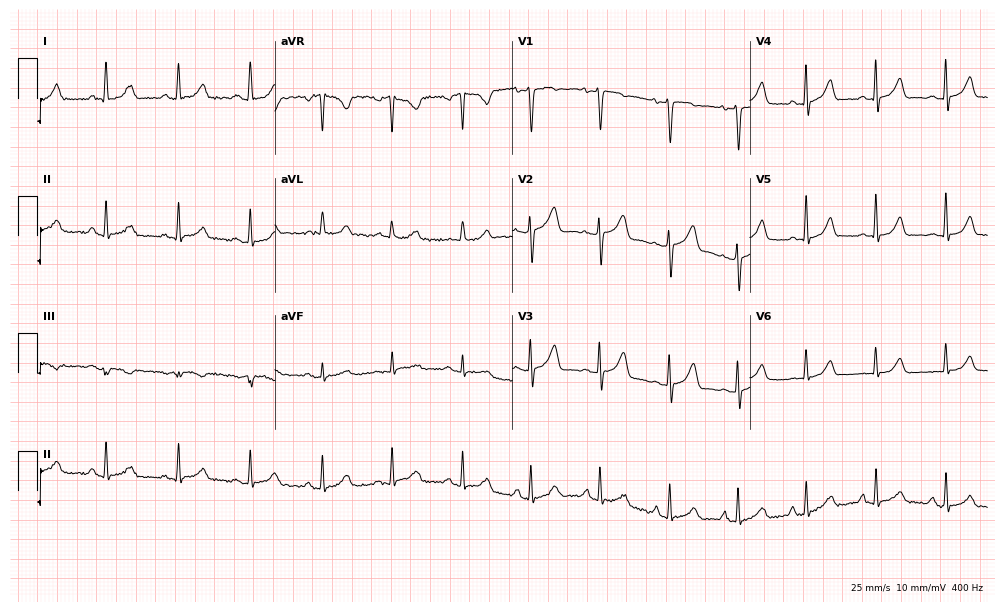
12-lead ECG (9.7-second recording at 400 Hz) from a female, 48 years old. Labelled as a normal ECG.